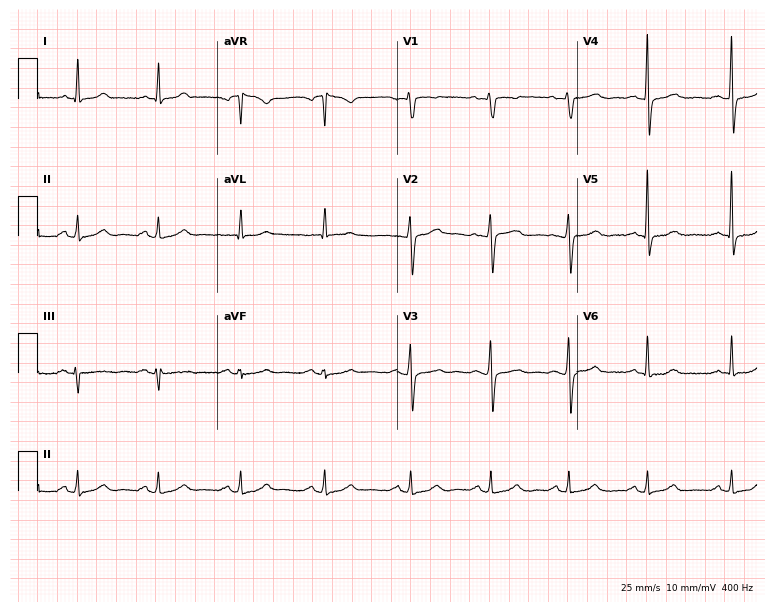
Resting 12-lead electrocardiogram (7.3-second recording at 400 Hz). Patient: a female, 53 years old. Read as a normal ECG.